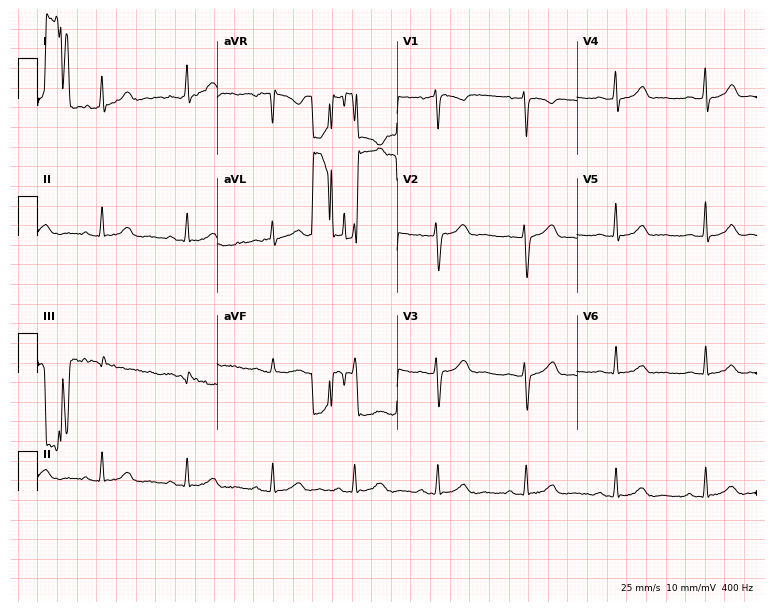
Electrocardiogram (7.3-second recording at 400 Hz), a woman, 46 years old. Of the six screened findings (first-degree AV block, right bundle branch block, left bundle branch block, sinus bradycardia, atrial fibrillation, sinus tachycardia), none is recorded.